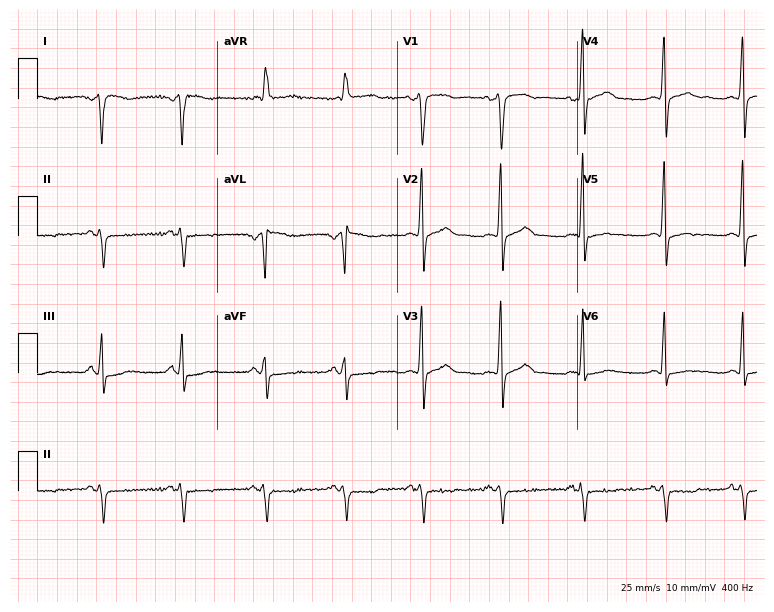
12-lead ECG (7.3-second recording at 400 Hz) from a 52-year-old female. Screened for six findings — first-degree AV block, right bundle branch block, left bundle branch block, sinus bradycardia, atrial fibrillation, sinus tachycardia — none is recorded.